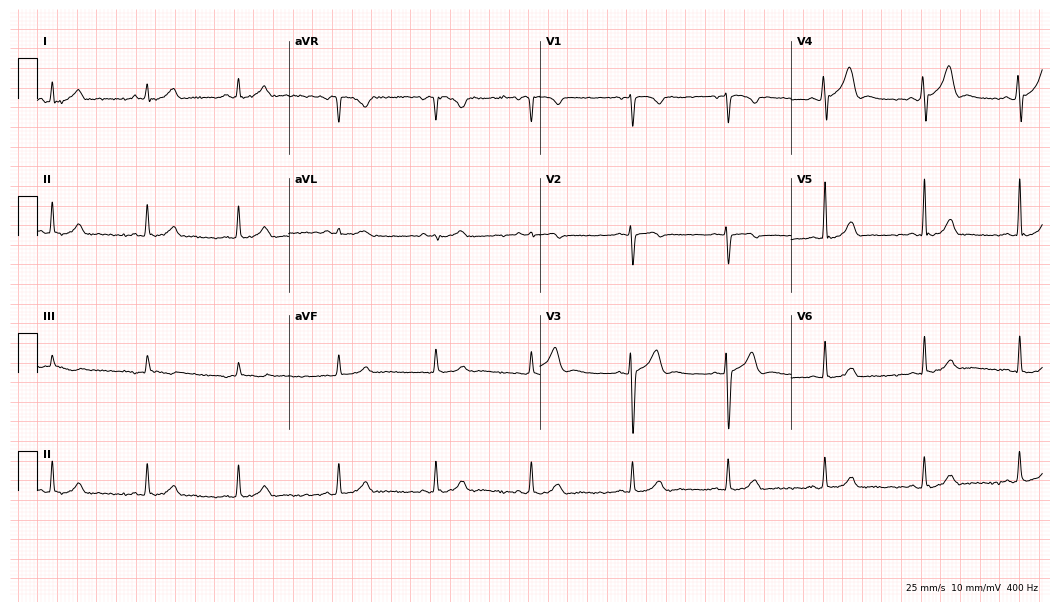
ECG (10.2-second recording at 400 Hz) — a 19-year-old male. Labelled as a normal ECG.